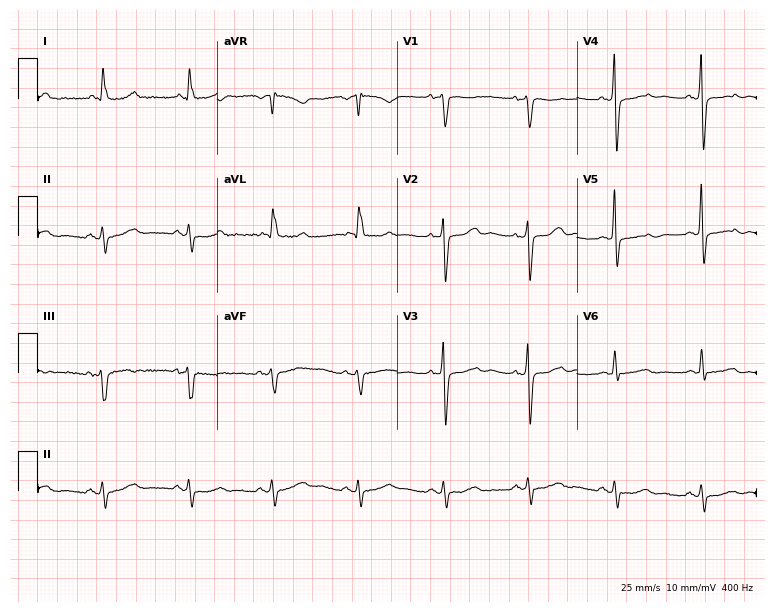
Resting 12-lead electrocardiogram. Patient: a 63-year-old female. None of these six findings is recorded: first-degree AV block, right bundle branch block, left bundle branch block, sinus bradycardia, atrial fibrillation, sinus tachycardia.